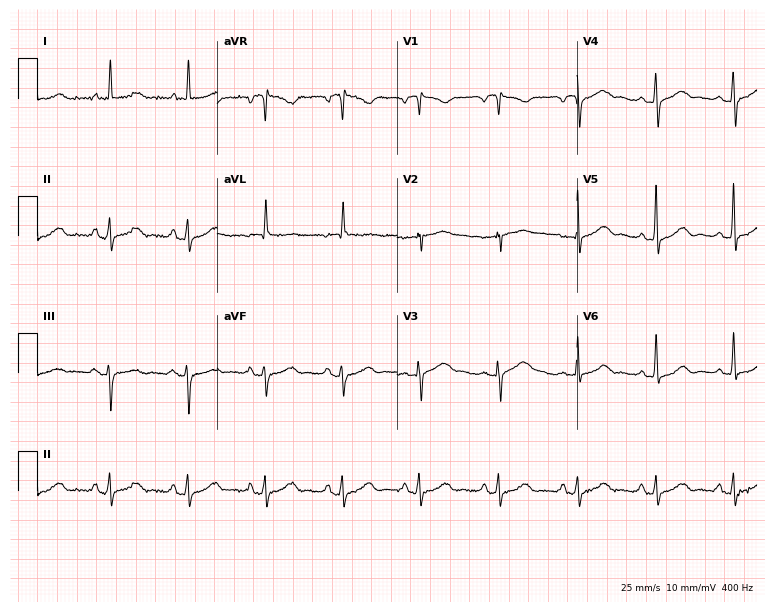
Resting 12-lead electrocardiogram (7.3-second recording at 400 Hz). Patient: a female, 71 years old. Read as a normal ECG.